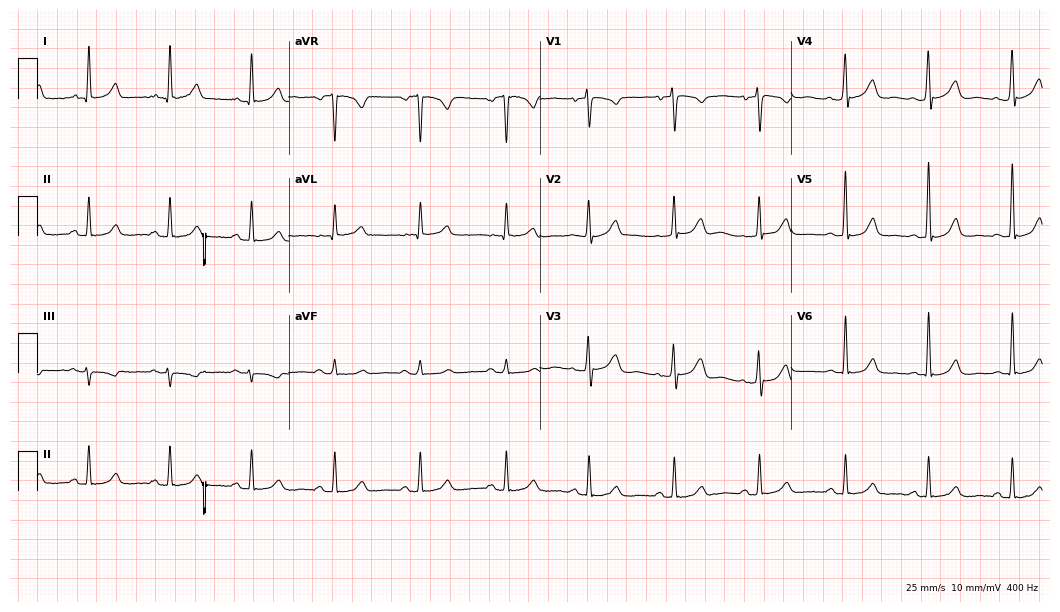
ECG — a 53-year-old woman. Labelled as a normal ECG.